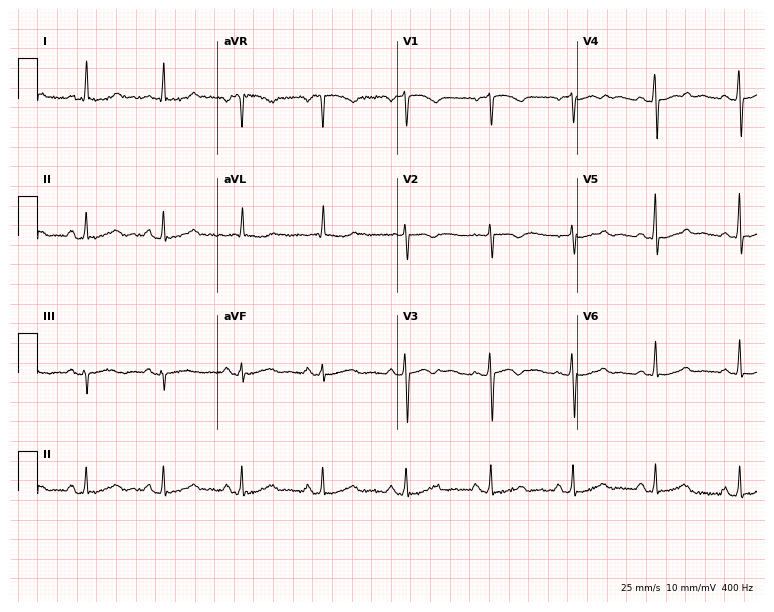
ECG (7.3-second recording at 400 Hz) — a 74-year-old female patient. Labelled as a normal ECG.